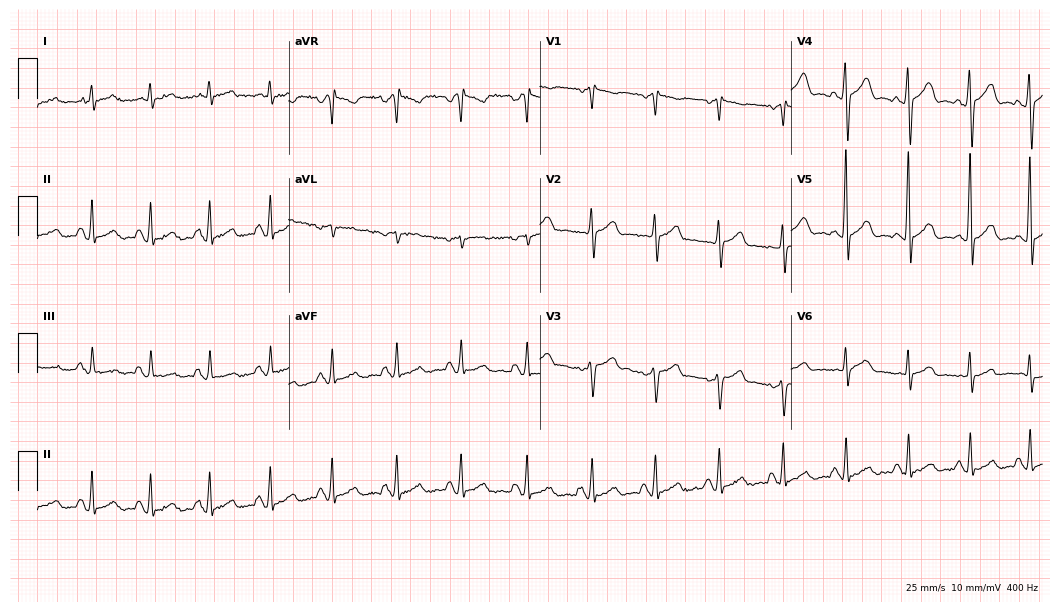
Standard 12-lead ECG recorded from a male patient, 50 years old (10.2-second recording at 400 Hz). None of these six findings is recorded: first-degree AV block, right bundle branch block, left bundle branch block, sinus bradycardia, atrial fibrillation, sinus tachycardia. Other findings, if any, are not listed.